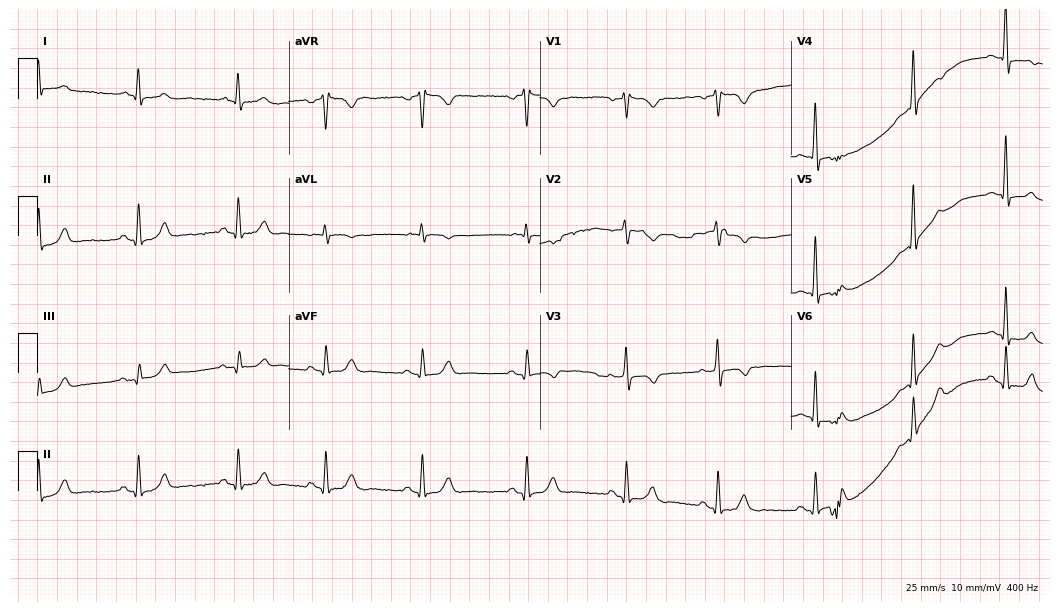
Standard 12-lead ECG recorded from a woman, 44 years old. None of these six findings is recorded: first-degree AV block, right bundle branch block (RBBB), left bundle branch block (LBBB), sinus bradycardia, atrial fibrillation (AF), sinus tachycardia.